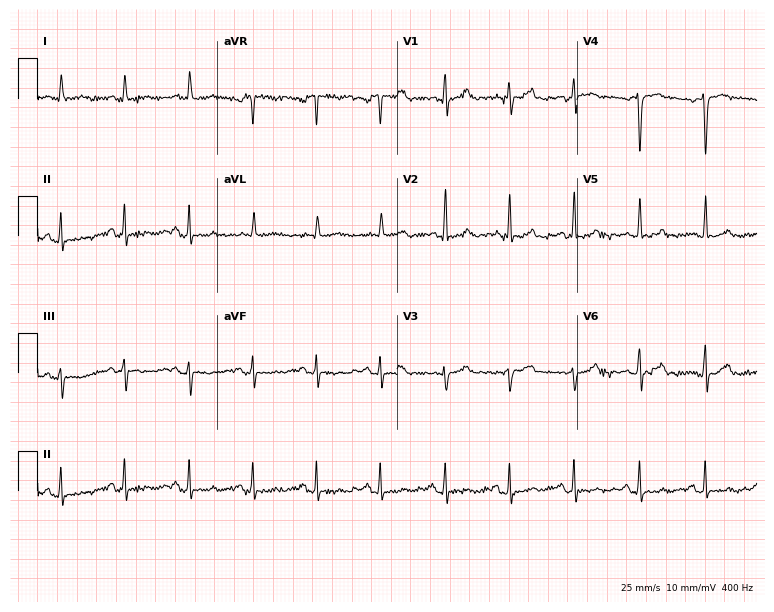
Electrocardiogram (7.3-second recording at 400 Hz), a 45-year-old woman. Of the six screened findings (first-degree AV block, right bundle branch block, left bundle branch block, sinus bradycardia, atrial fibrillation, sinus tachycardia), none is recorded. Findings outside these six are not listed.